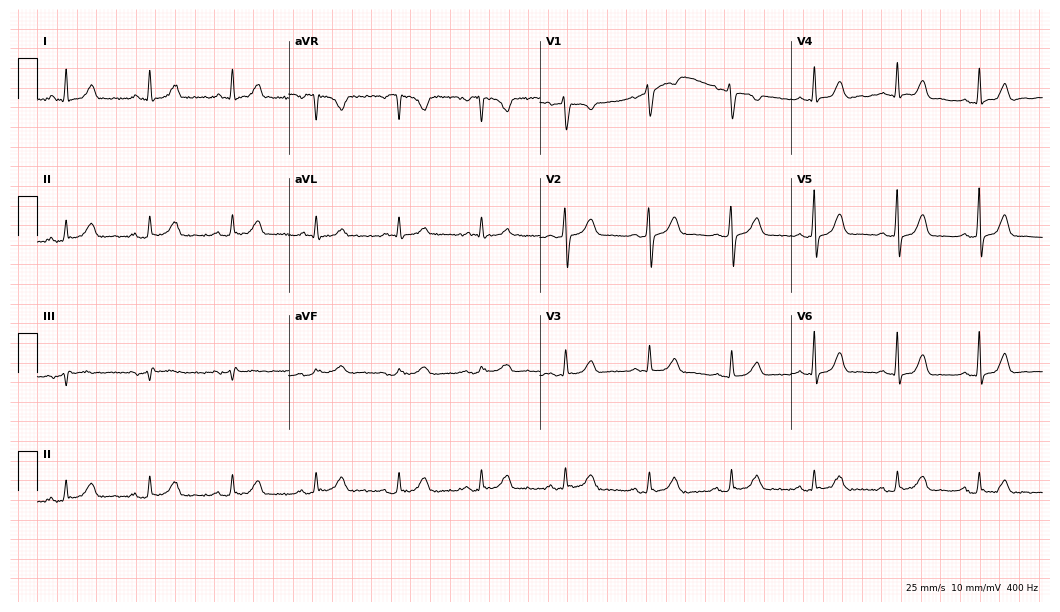
Electrocardiogram, a 65-year-old female. Overall reading on record: normal ECG.